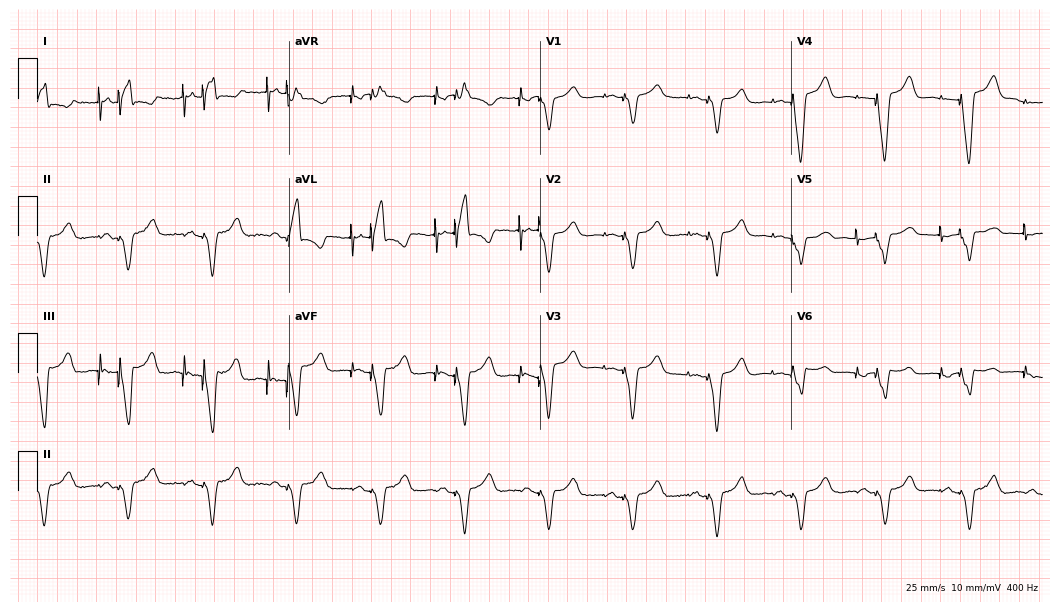
ECG — a woman, 74 years old. Screened for six findings — first-degree AV block, right bundle branch block, left bundle branch block, sinus bradycardia, atrial fibrillation, sinus tachycardia — none is recorded. Findings outside these six are not listed.